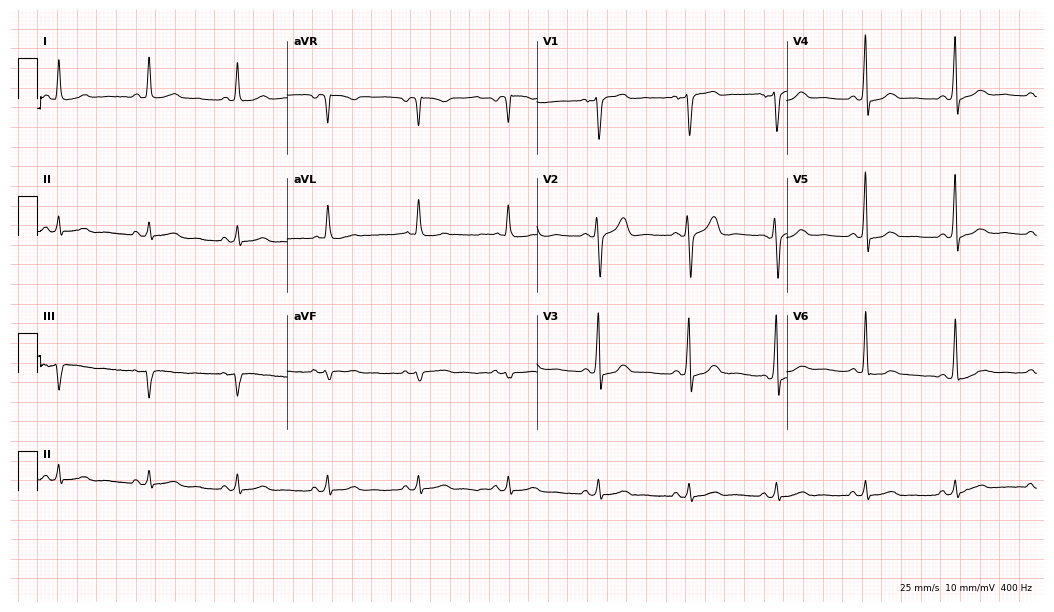
Standard 12-lead ECG recorded from a man, 62 years old (10.2-second recording at 400 Hz). Read as a normal ECG.